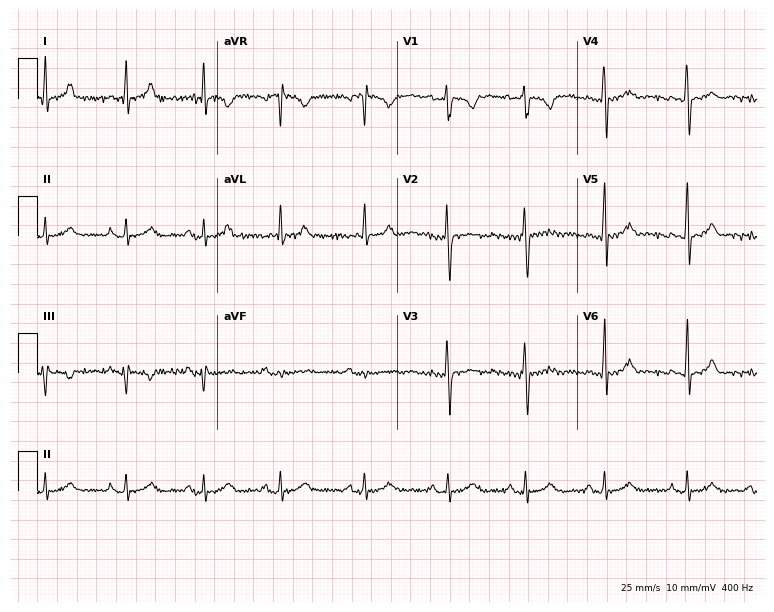
Resting 12-lead electrocardiogram. Patient: a female, 26 years old. None of these six findings is recorded: first-degree AV block, right bundle branch block, left bundle branch block, sinus bradycardia, atrial fibrillation, sinus tachycardia. Only these six findings were labelled.